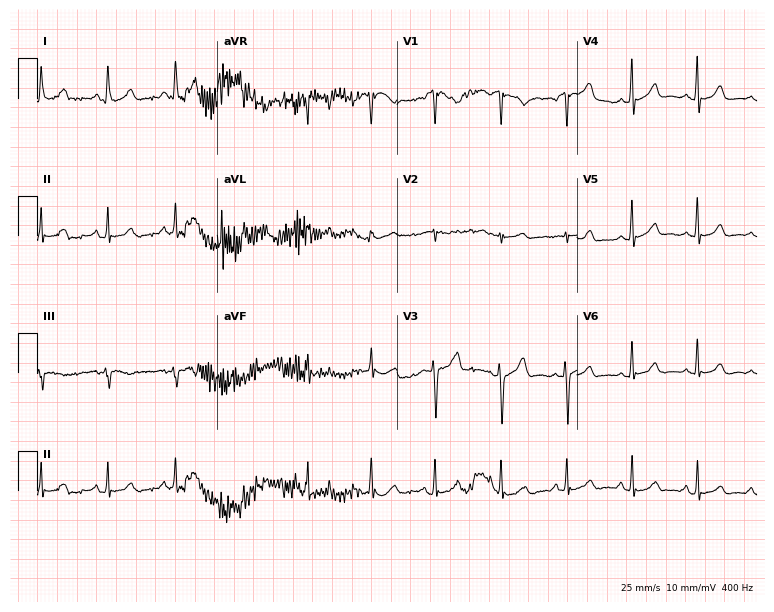
Standard 12-lead ECG recorded from a 31-year-old woman. None of these six findings is recorded: first-degree AV block, right bundle branch block, left bundle branch block, sinus bradycardia, atrial fibrillation, sinus tachycardia. Only these six findings were labelled.